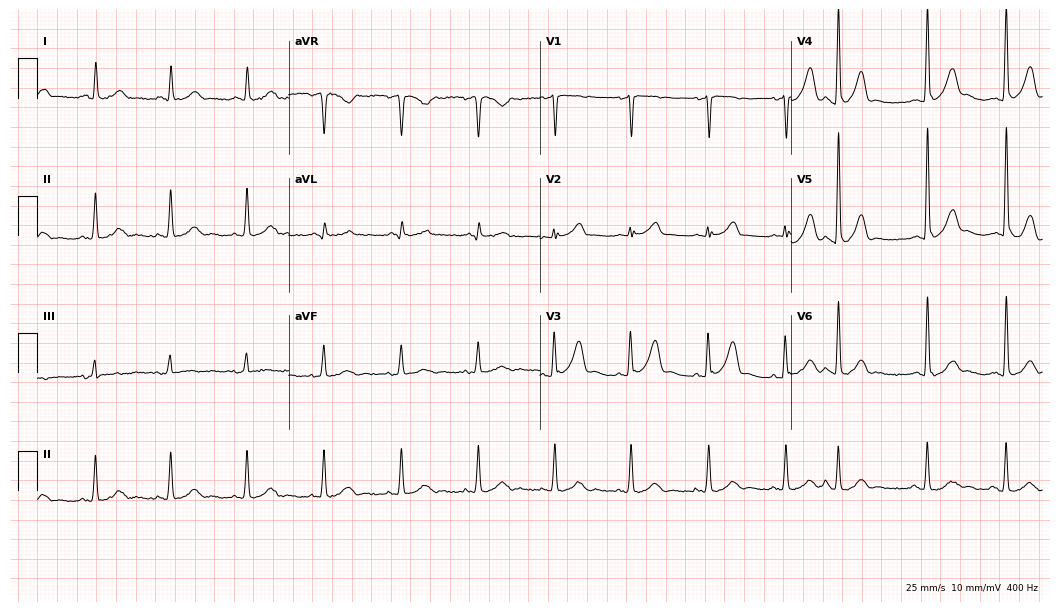
Electrocardiogram, a female, 63 years old. Of the six screened findings (first-degree AV block, right bundle branch block, left bundle branch block, sinus bradycardia, atrial fibrillation, sinus tachycardia), none is recorded.